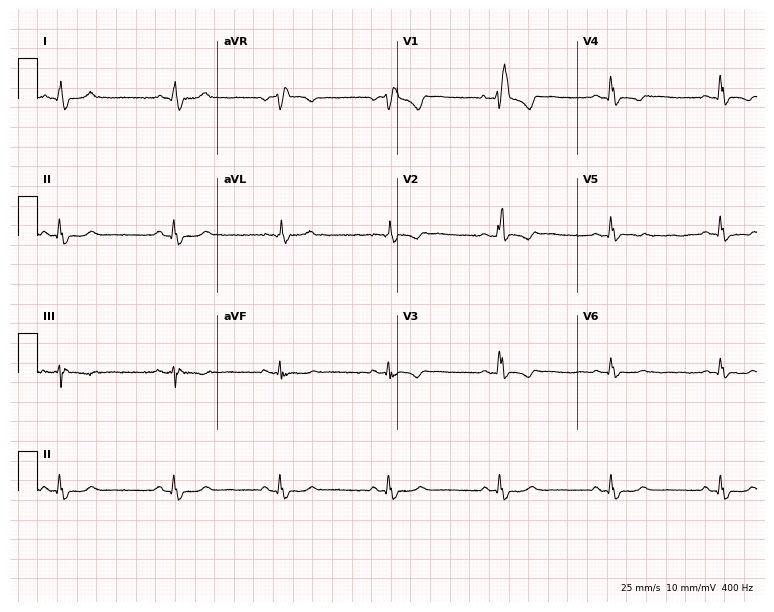
Standard 12-lead ECG recorded from a woman, 57 years old. The tracing shows right bundle branch block.